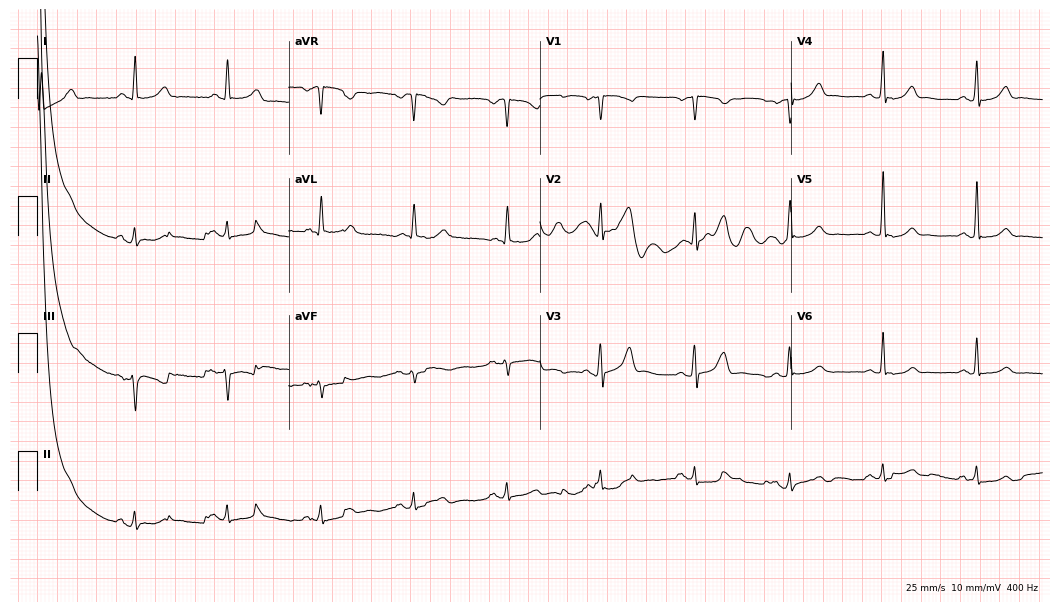
12-lead ECG from a woman, 65 years old. Recorded interpretation: within normal limits.